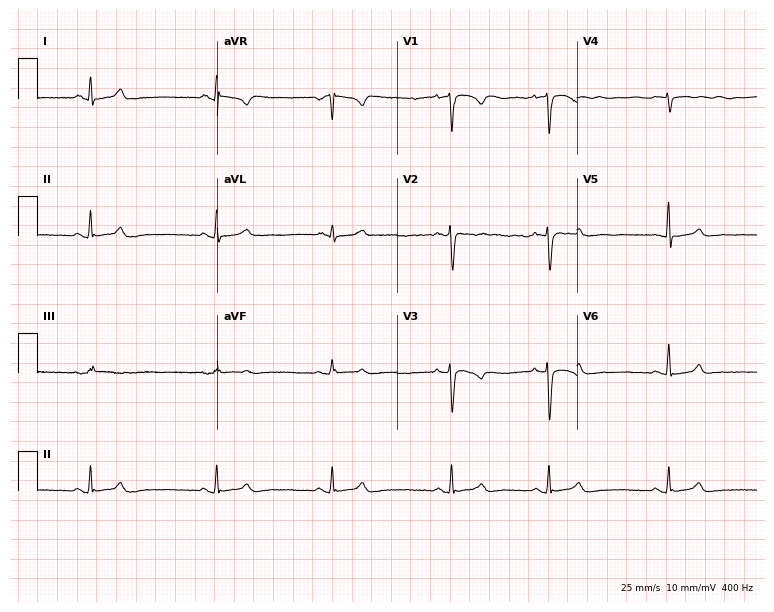
Electrocardiogram (7.3-second recording at 400 Hz), a female patient, 37 years old. Overall reading on record: normal ECG.